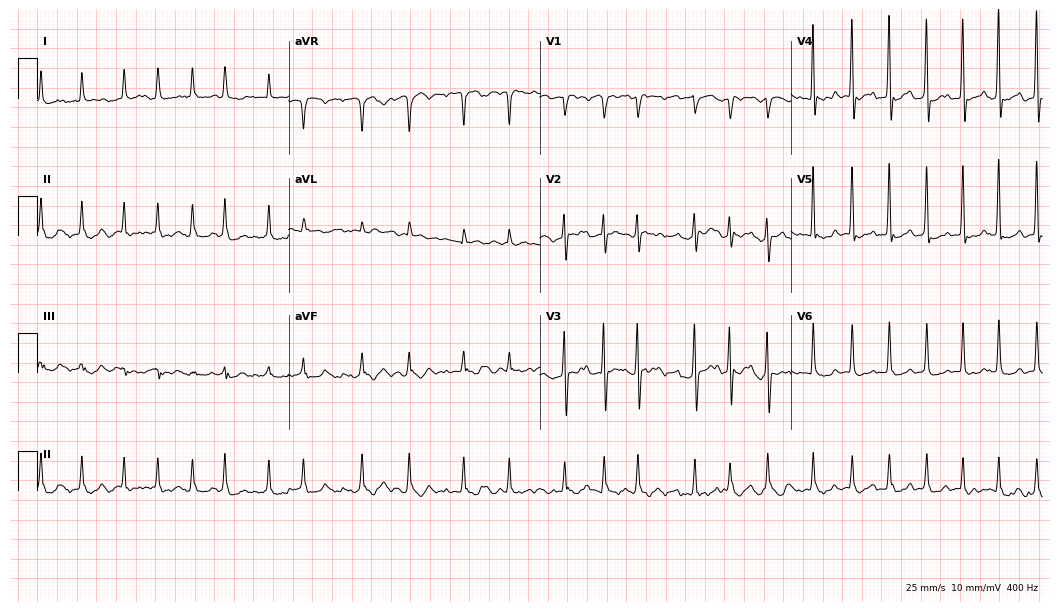
ECG (10.2-second recording at 400 Hz) — a 79-year-old female. Findings include atrial fibrillation (AF).